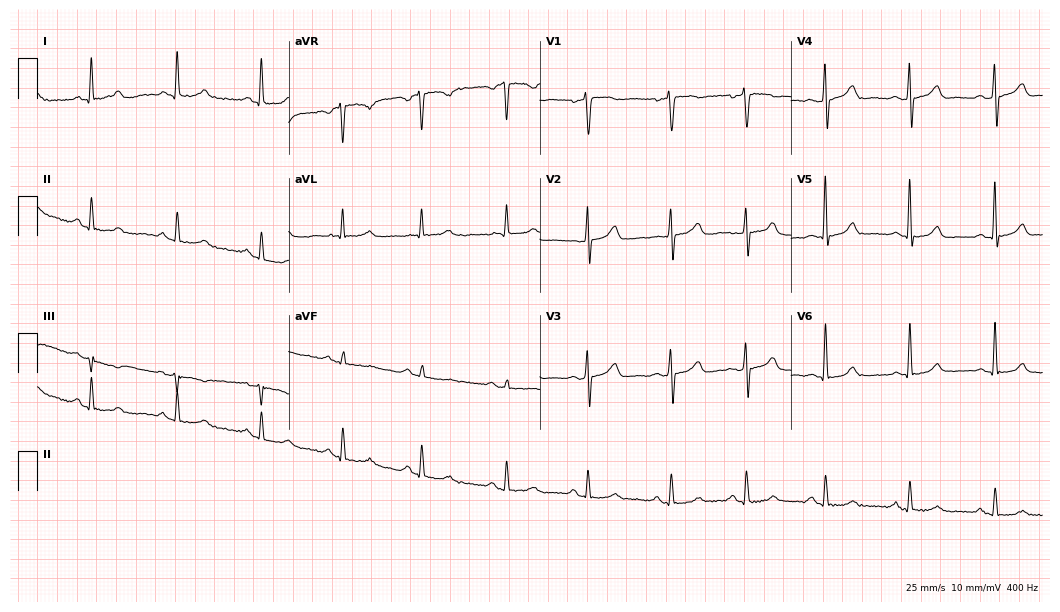
Standard 12-lead ECG recorded from a 59-year-old male. Read as a normal ECG.